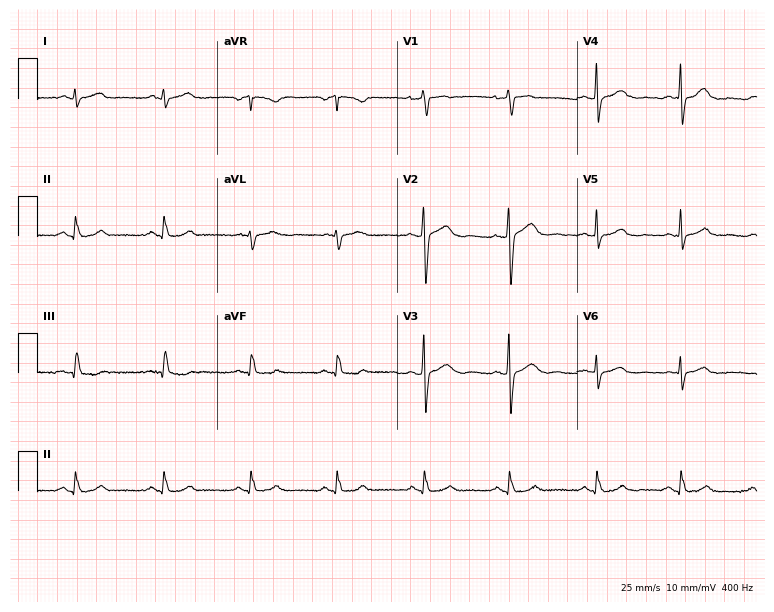
Electrocardiogram (7.3-second recording at 400 Hz), a 50-year-old woman. Of the six screened findings (first-degree AV block, right bundle branch block, left bundle branch block, sinus bradycardia, atrial fibrillation, sinus tachycardia), none is recorded. Only these six findings were labelled.